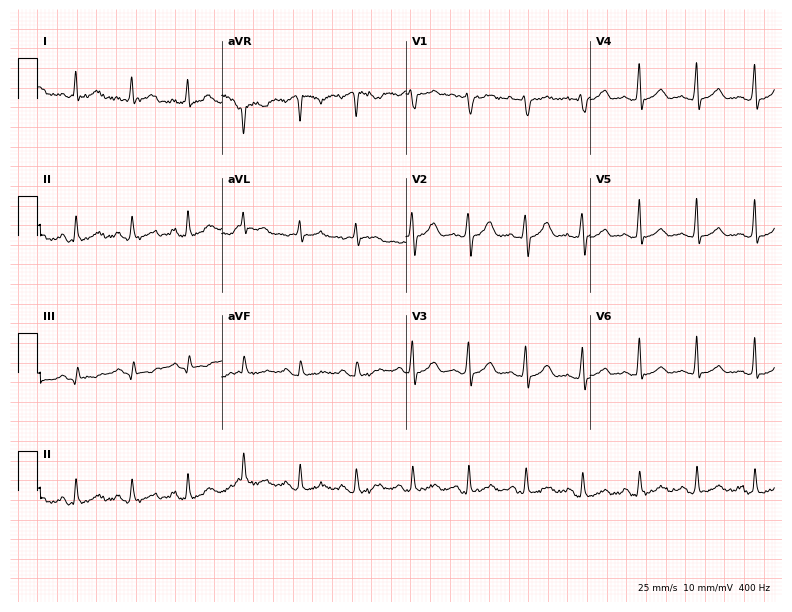
Resting 12-lead electrocardiogram. Patient: a 40-year-old male. The tracing shows sinus tachycardia (a sinus rate of 100 beats per minute or more).